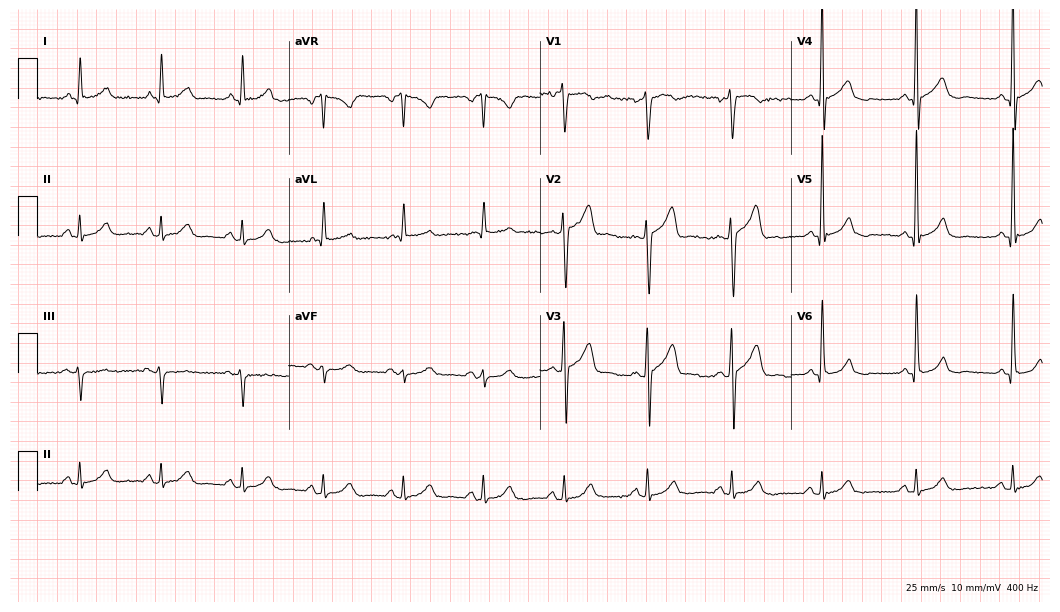
ECG (10.2-second recording at 400 Hz) — a male, 51 years old. Labelled as a normal ECG.